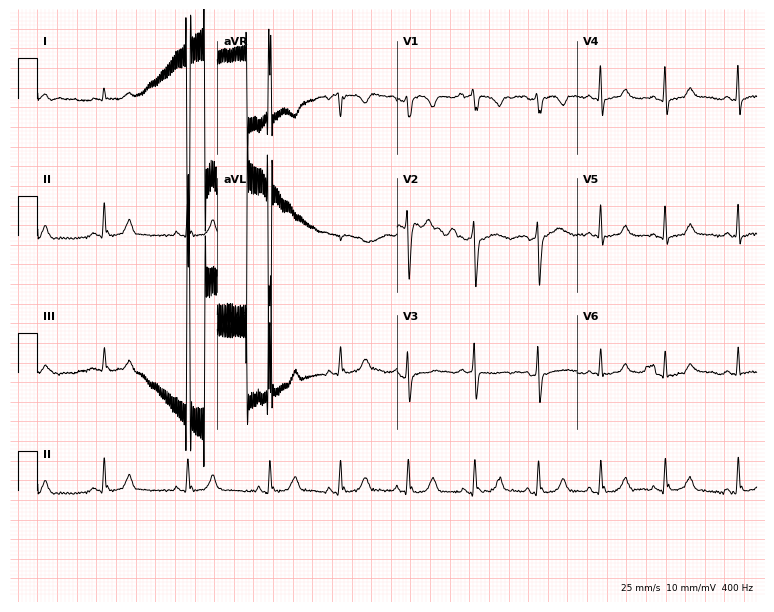
Electrocardiogram (7.3-second recording at 400 Hz), a male, 23 years old. Overall reading on record: normal ECG.